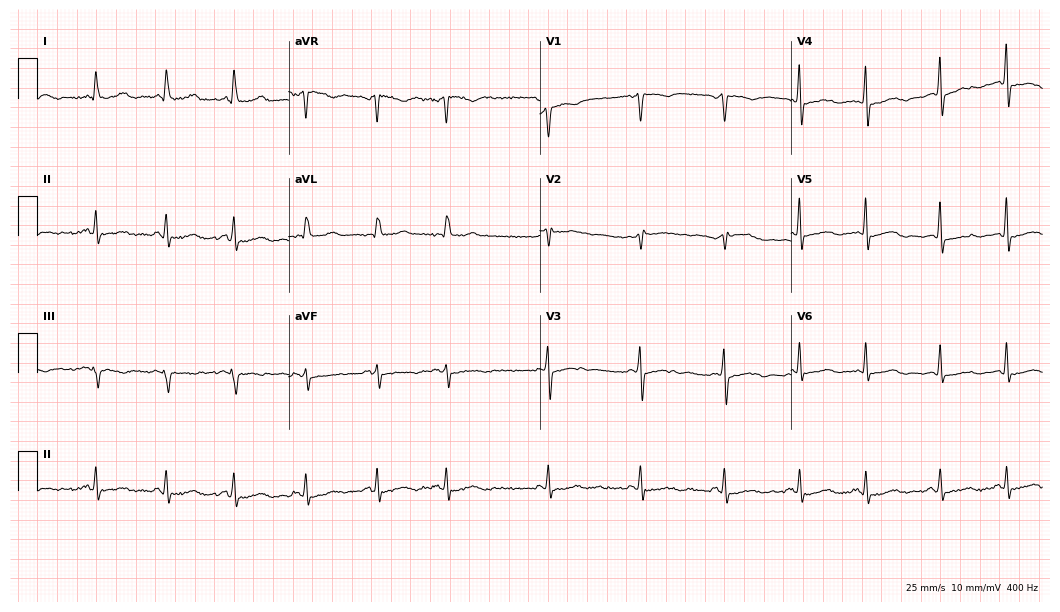
Resting 12-lead electrocardiogram. Patient: a 48-year-old female. None of these six findings is recorded: first-degree AV block, right bundle branch block (RBBB), left bundle branch block (LBBB), sinus bradycardia, atrial fibrillation (AF), sinus tachycardia.